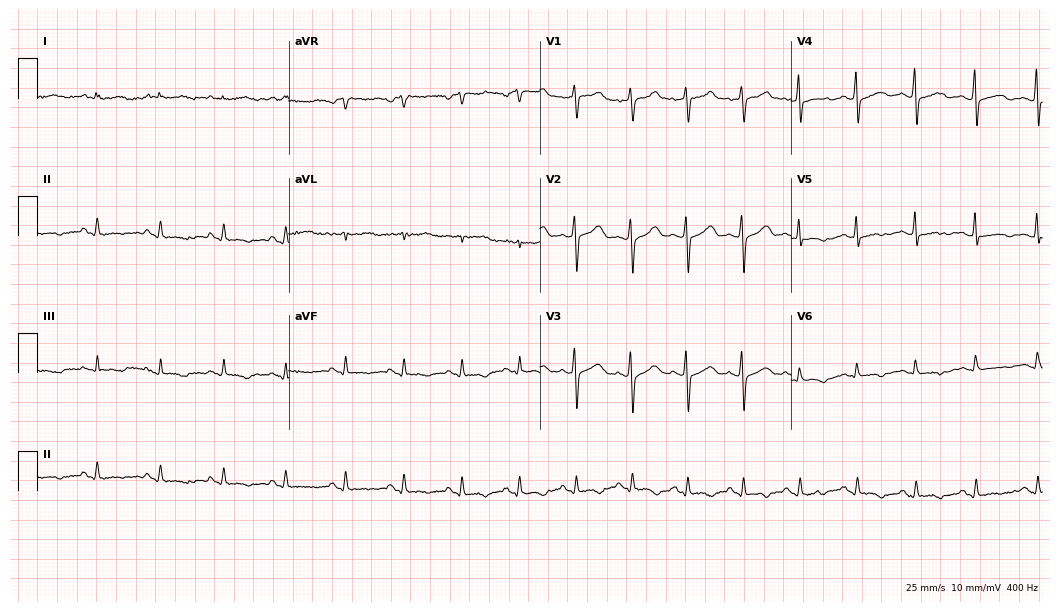
Standard 12-lead ECG recorded from a 49-year-old female patient. None of these six findings is recorded: first-degree AV block, right bundle branch block, left bundle branch block, sinus bradycardia, atrial fibrillation, sinus tachycardia.